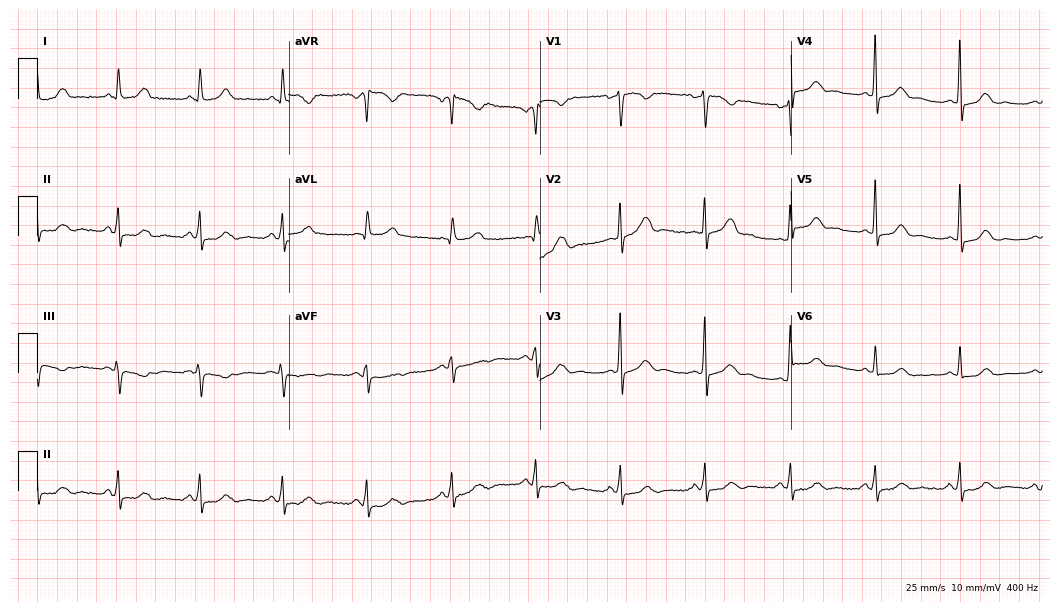
Resting 12-lead electrocardiogram. Patient: a female, 35 years old. Read as a normal ECG.